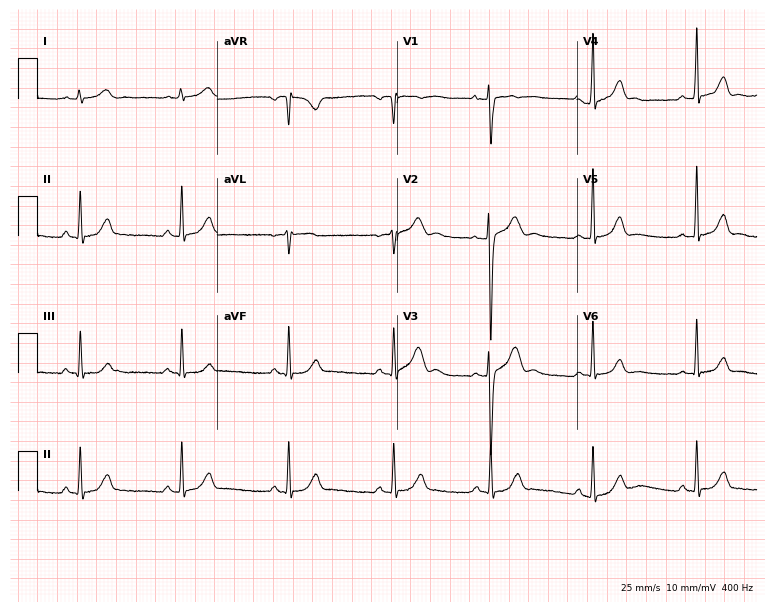
12-lead ECG from a 26-year-old male. No first-degree AV block, right bundle branch block, left bundle branch block, sinus bradycardia, atrial fibrillation or sinus tachycardia recorded for this tracing.